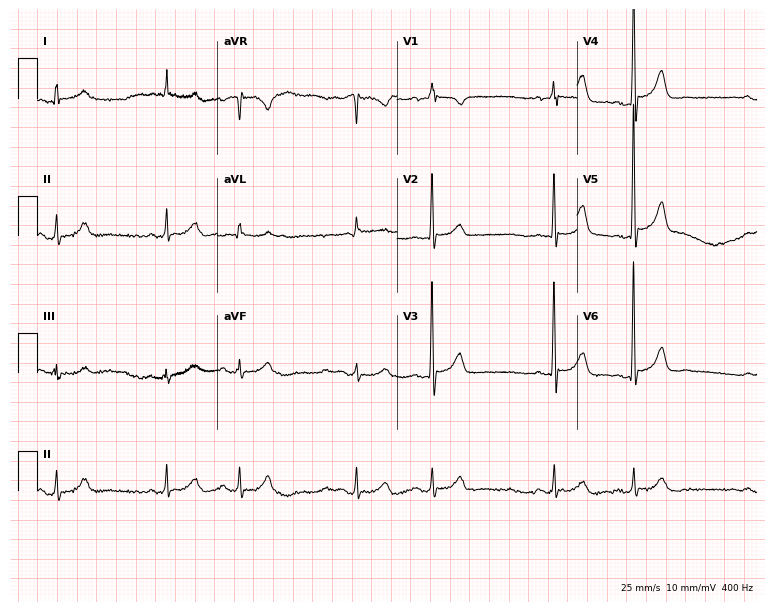
12-lead ECG from a female patient, 83 years old. Labelled as a normal ECG.